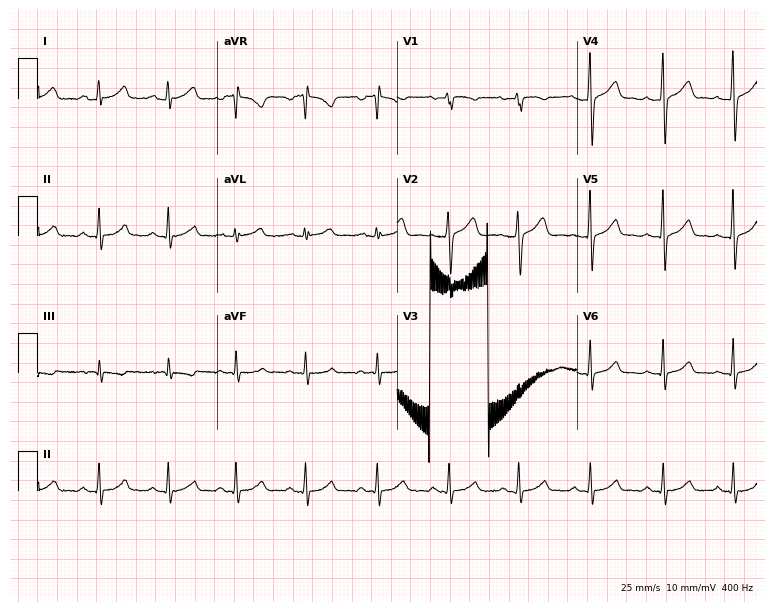
Electrocardiogram, a female patient, 30 years old. Overall reading on record: normal ECG.